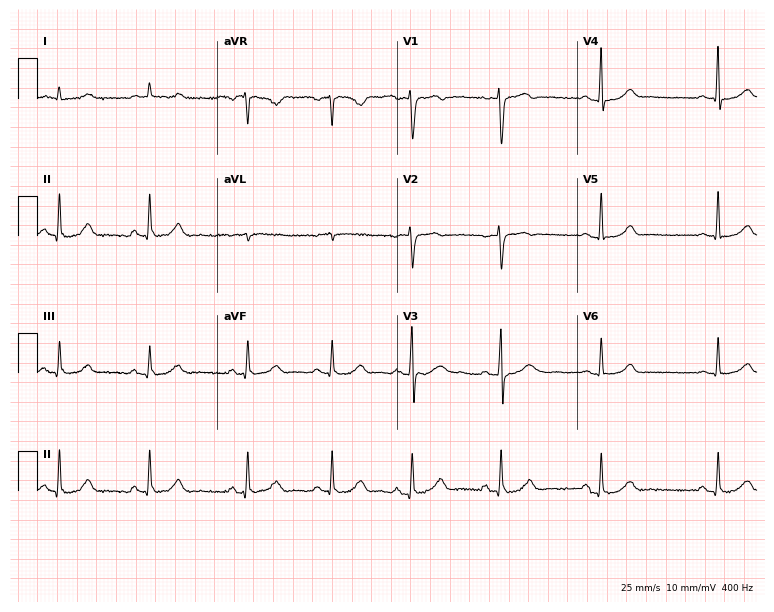
Standard 12-lead ECG recorded from a female, 41 years old. Read as a normal ECG.